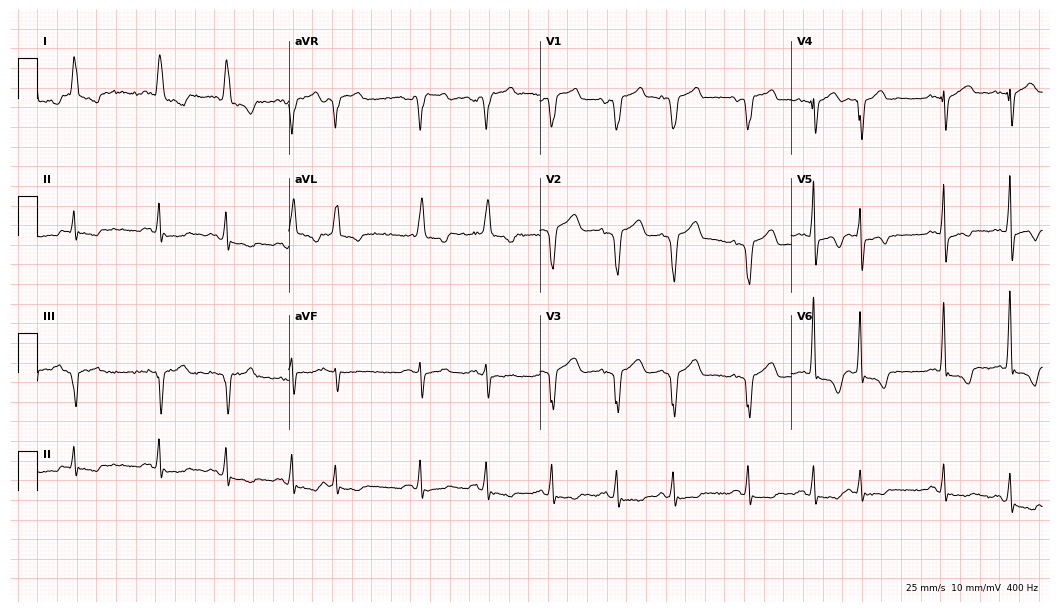
Resting 12-lead electrocardiogram. Patient: a 74-year-old man. None of these six findings is recorded: first-degree AV block, right bundle branch block, left bundle branch block, sinus bradycardia, atrial fibrillation, sinus tachycardia.